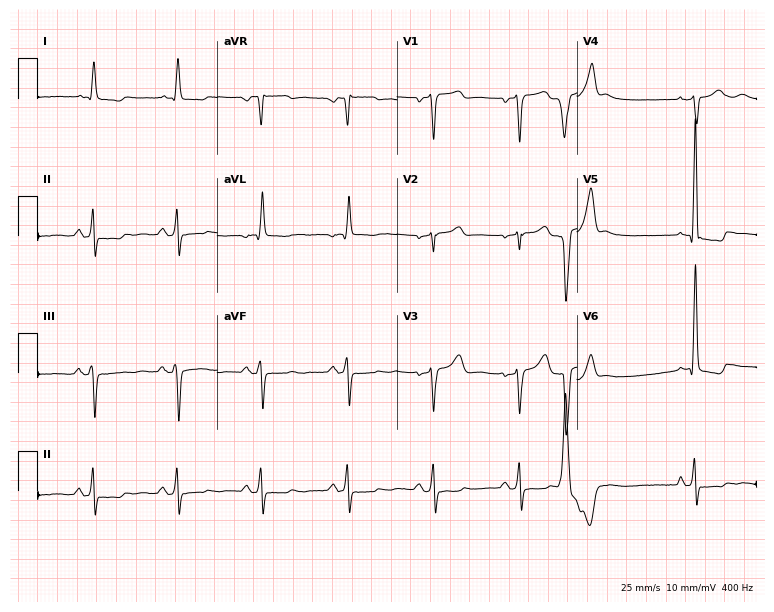
12-lead ECG (7.3-second recording at 400 Hz) from a male patient, 75 years old. Screened for six findings — first-degree AV block, right bundle branch block (RBBB), left bundle branch block (LBBB), sinus bradycardia, atrial fibrillation (AF), sinus tachycardia — none is recorded.